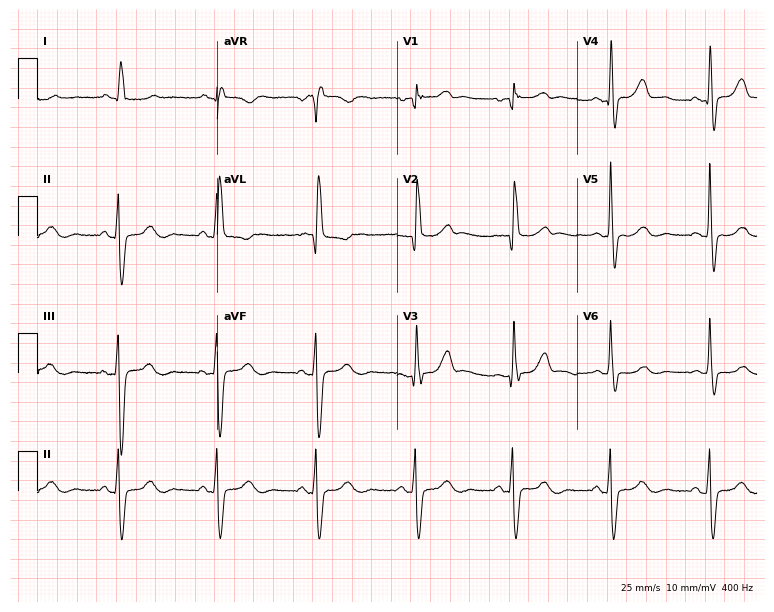
ECG — a woman, 76 years old. Findings include right bundle branch block (RBBB).